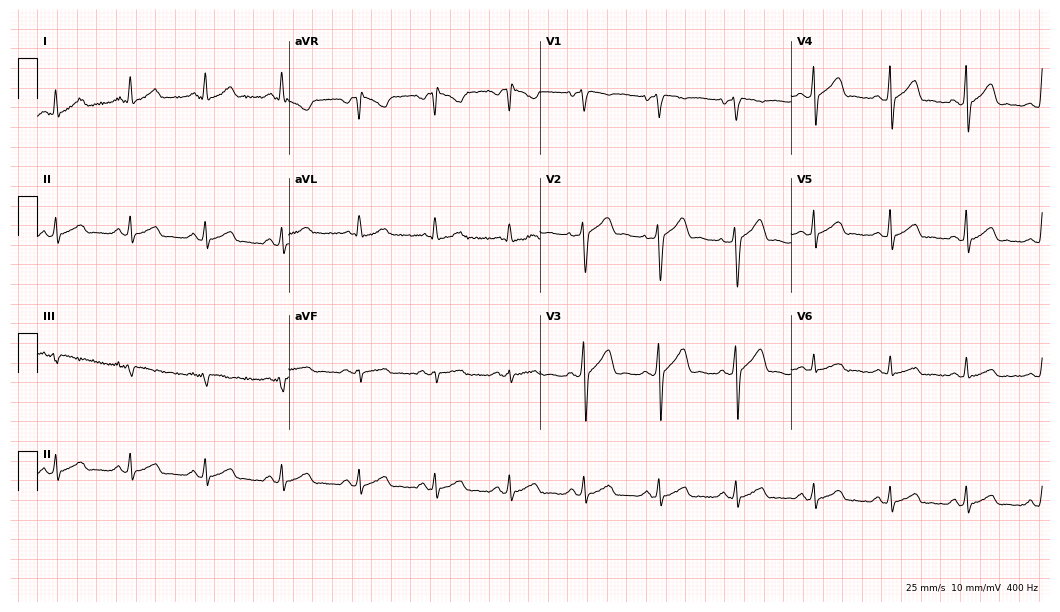
12-lead ECG (10.2-second recording at 400 Hz) from a 29-year-old male. Labelled as a normal ECG.